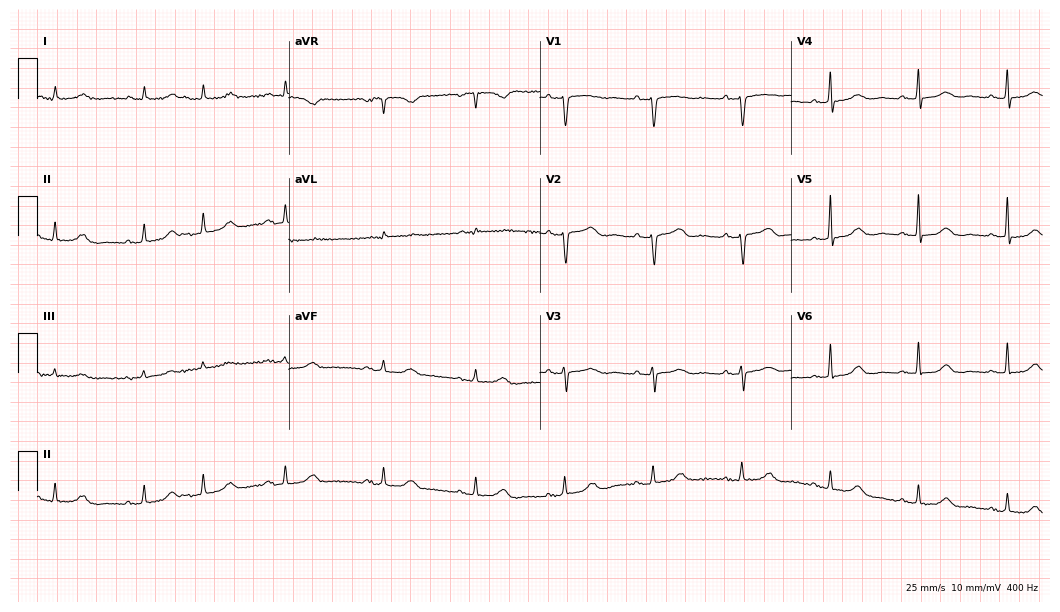
Resting 12-lead electrocardiogram. Patient: a 71-year-old female. None of these six findings is recorded: first-degree AV block, right bundle branch block, left bundle branch block, sinus bradycardia, atrial fibrillation, sinus tachycardia. Only these six findings were labelled.